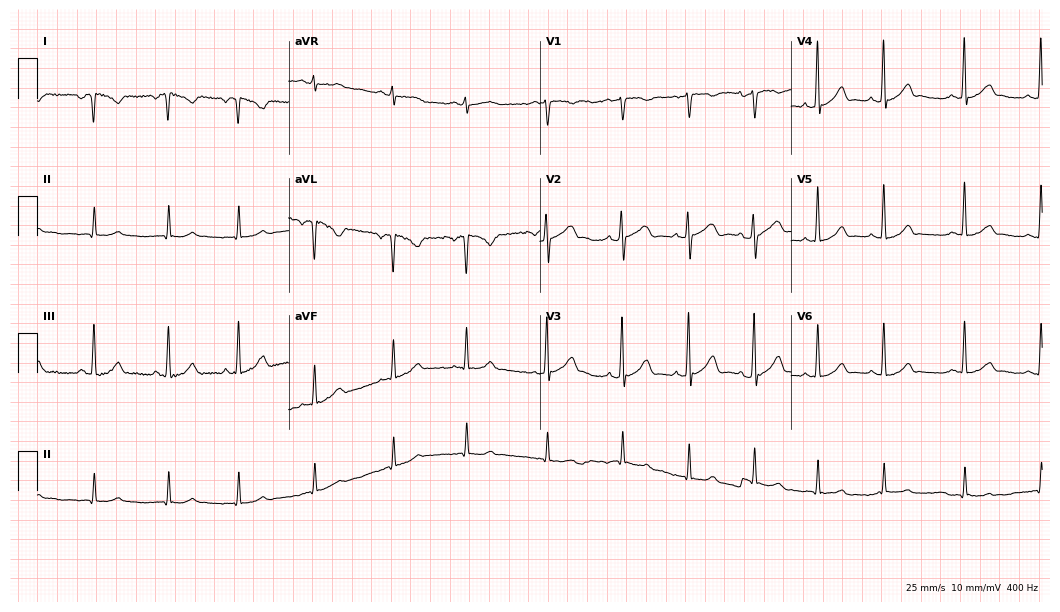
Standard 12-lead ECG recorded from a 19-year-old woman. None of these six findings is recorded: first-degree AV block, right bundle branch block (RBBB), left bundle branch block (LBBB), sinus bradycardia, atrial fibrillation (AF), sinus tachycardia. Other findings, if any, are not listed.